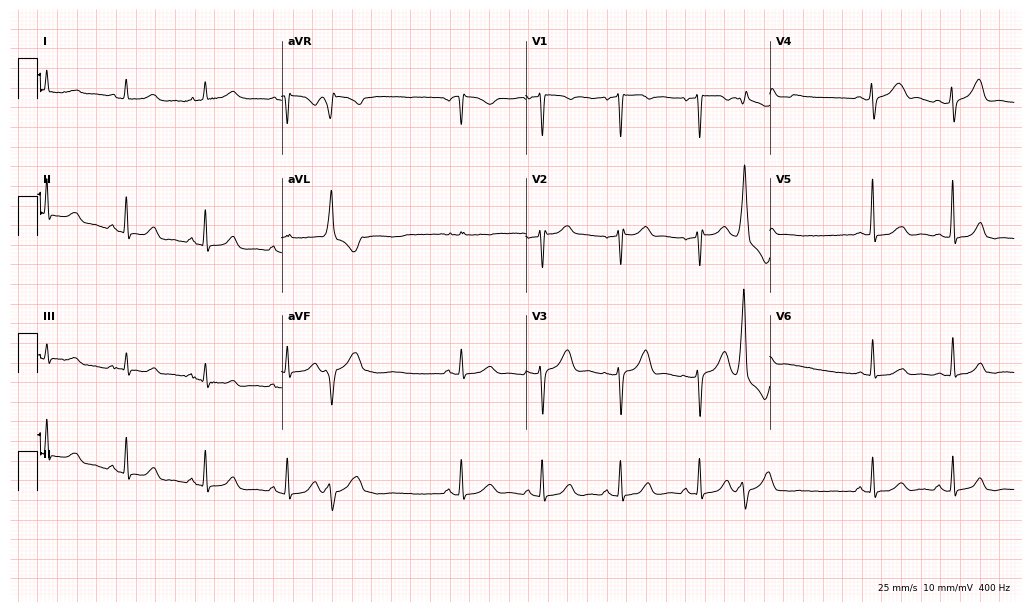
12-lead ECG from a 46-year-old female. No first-degree AV block, right bundle branch block (RBBB), left bundle branch block (LBBB), sinus bradycardia, atrial fibrillation (AF) or sinus tachycardia recorded for this tracing. Other findings, if any, are not listed.